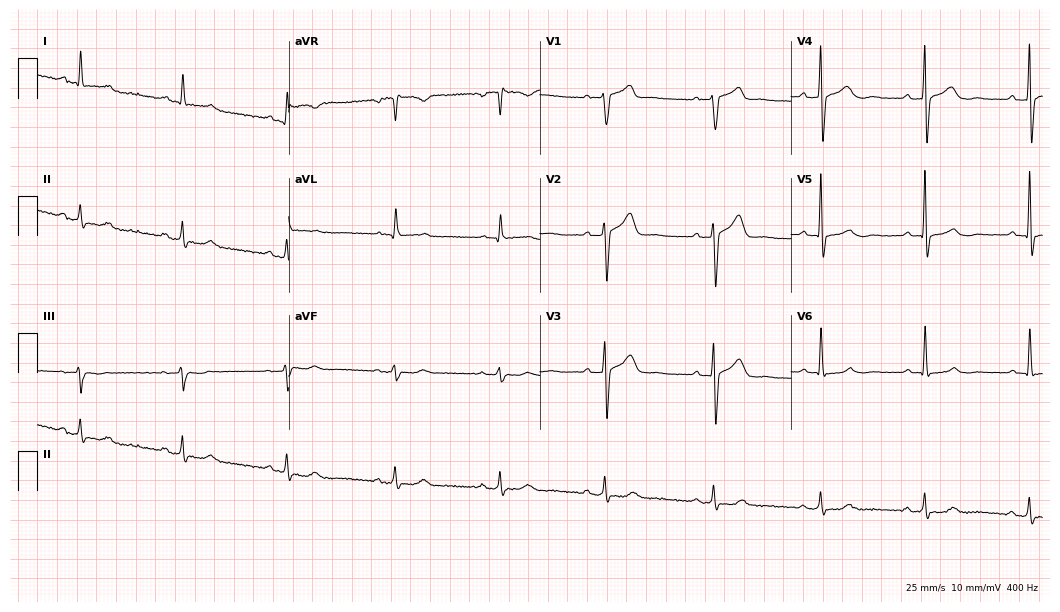
Standard 12-lead ECG recorded from a man, 65 years old (10.2-second recording at 400 Hz). Read as a normal ECG.